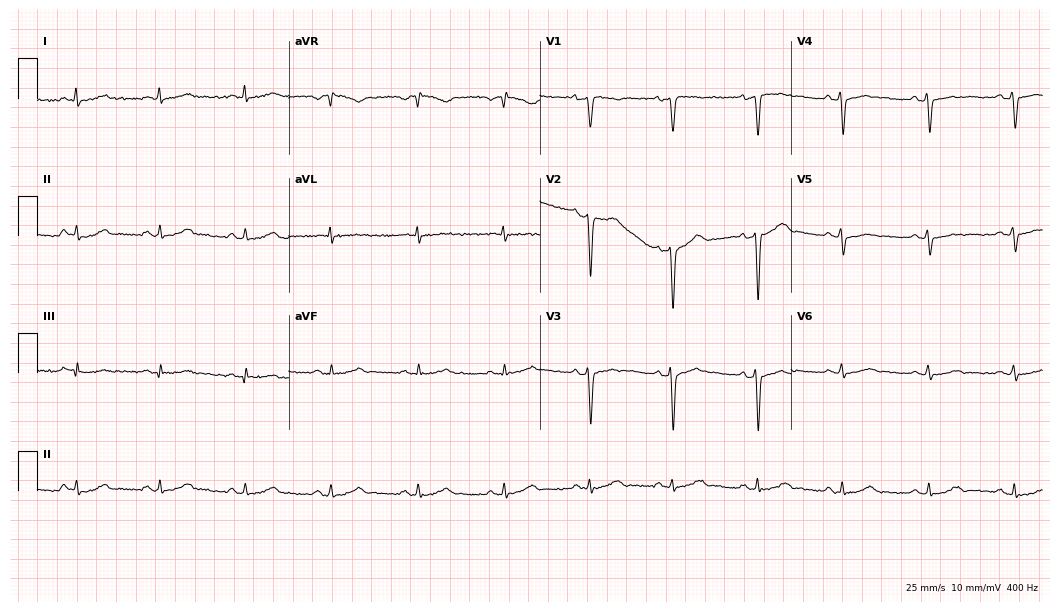
Standard 12-lead ECG recorded from a 40-year-old male (10.2-second recording at 400 Hz). None of these six findings is recorded: first-degree AV block, right bundle branch block (RBBB), left bundle branch block (LBBB), sinus bradycardia, atrial fibrillation (AF), sinus tachycardia. Other findings, if any, are not listed.